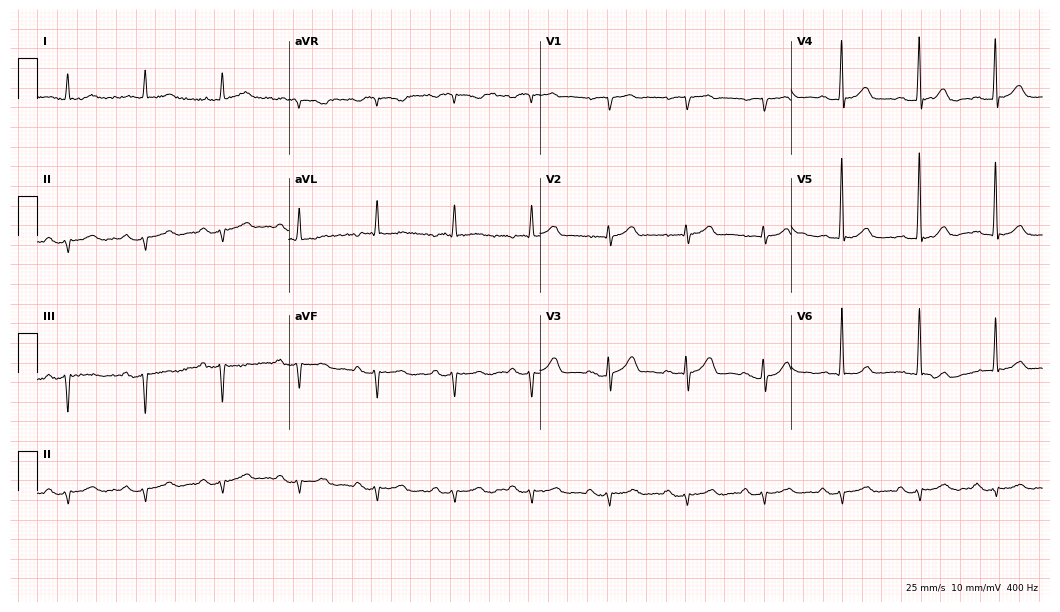
12-lead ECG from an 82-year-old male patient. No first-degree AV block, right bundle branch block, left bundle branch block, sinus bradycardia, atrial fibrillation or sinus tachycardia recorded for this tracing.